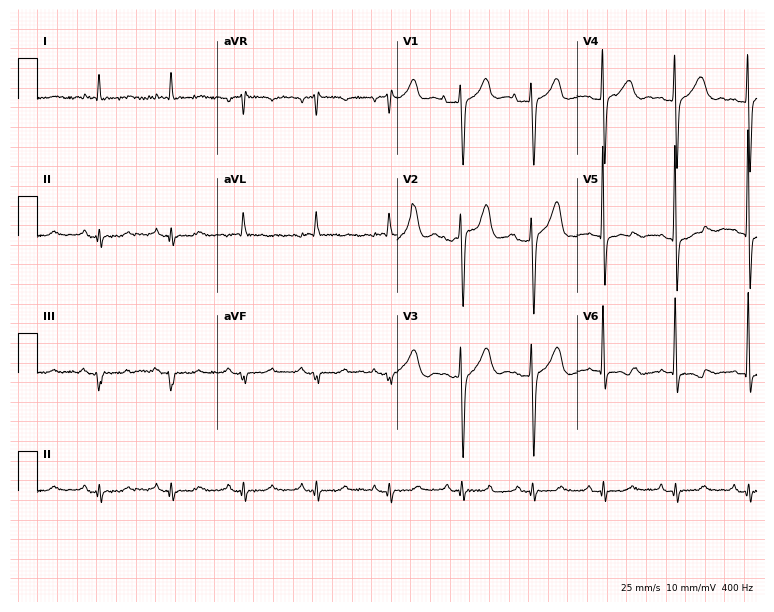
ECG — a female, 83 years old. Screened for six findings — first-degree AV block, right bundle branch block (RBBB), left bundle branch block (LBBB), sinus bradycardia, atrial fibrillation (AF), sinus tachycardia — none is recorded. Only these six findings were labelled.